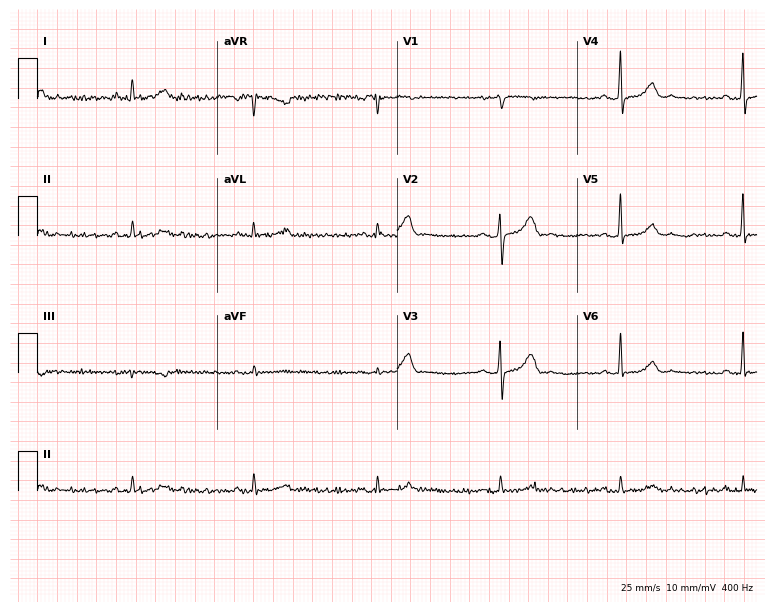
Resting 12-lead electrocardiogram (7.3-second recording at 400 Hz). Patient: a 59-year-old man. The tracing shows sinus bradycardia (a sinus rate of 50 beats per minute or less).